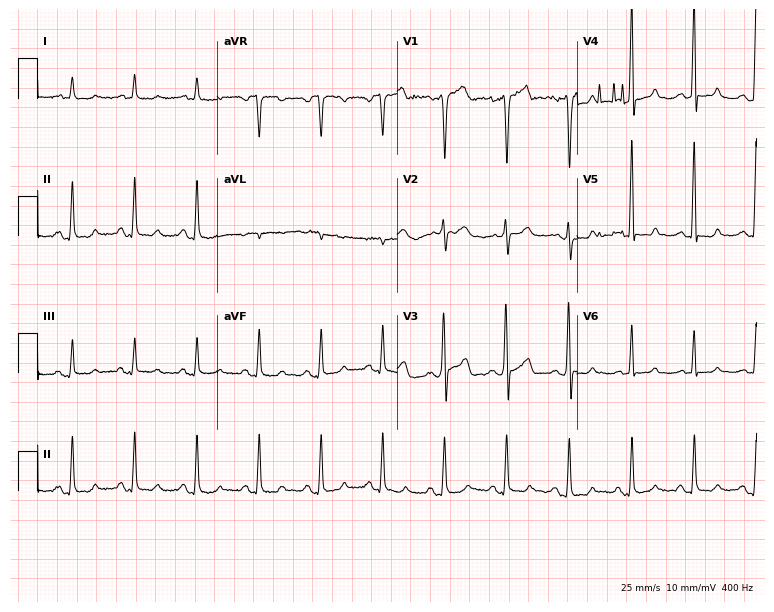
ECG (7.3-second recording at 400 Hz) — a man, 50 years old. Labelled as a normal ECG.